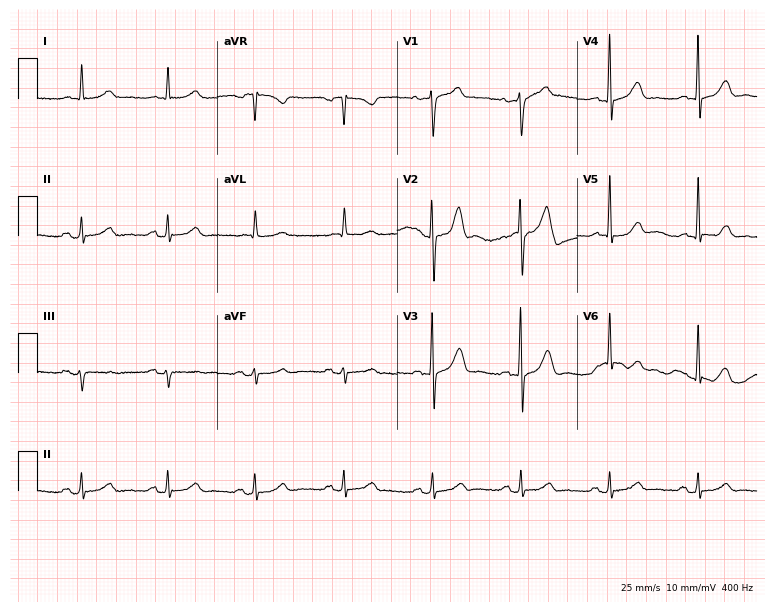
Resting 12-lead electrocardiogram (7.3-second recording at 400 Hz). Patient: a 71-year-old male. None of these six findings is recorded: first-degree AV block, right bundle branch block, left bundle branch block, sinus bradycardia, atrial fibrillation, sinus tachycardia.